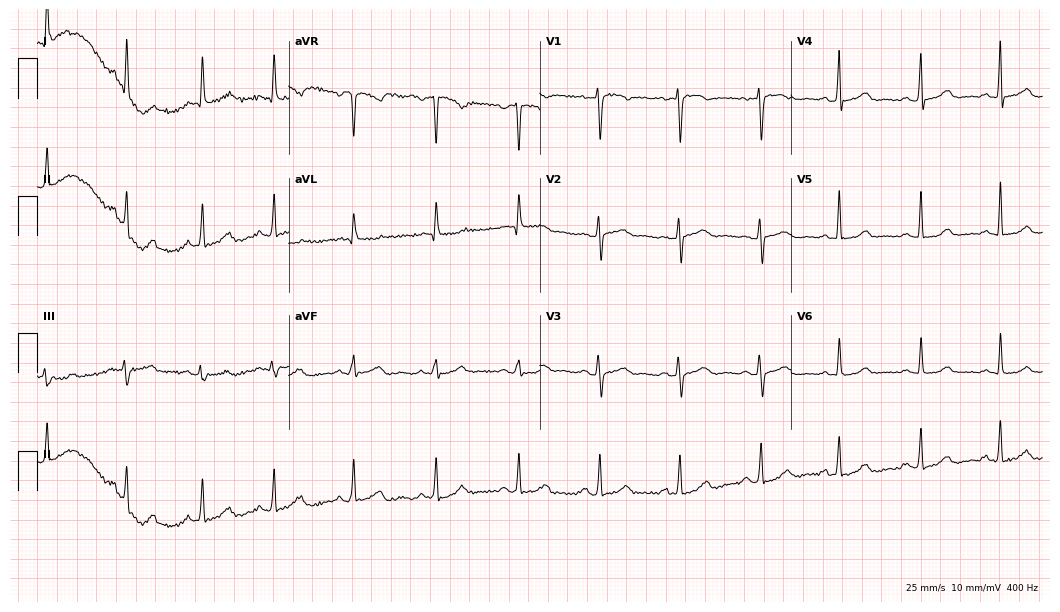
12-lead ECG from a female patient, 53 years old. Labelled as a normal ECG.